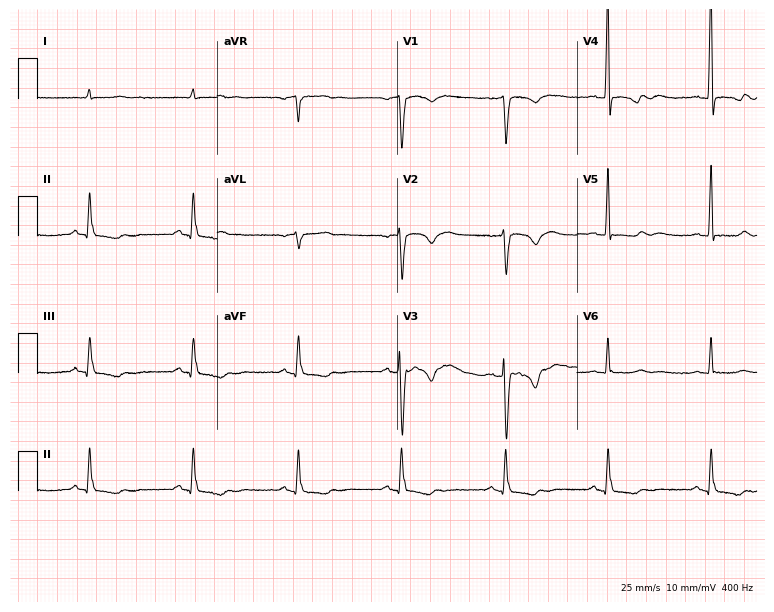
Electrocardiogram (7.3-second recording at 400 Hz), a male, 84 years old. Of the six screened findings (first-degree AV block, right bundle branch block, left bundle branch block, sinus bradycardia, atrial fibrillation, sinus tachycardia), none is recorded. Findings outside these six are not listed.